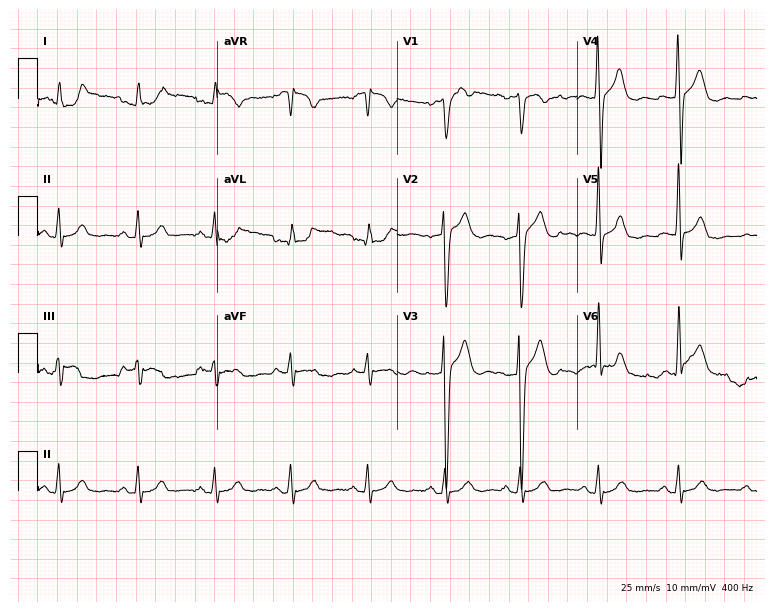
Electrocardiogram, a 27-year-old man. Overall reading on record: normal ECG.